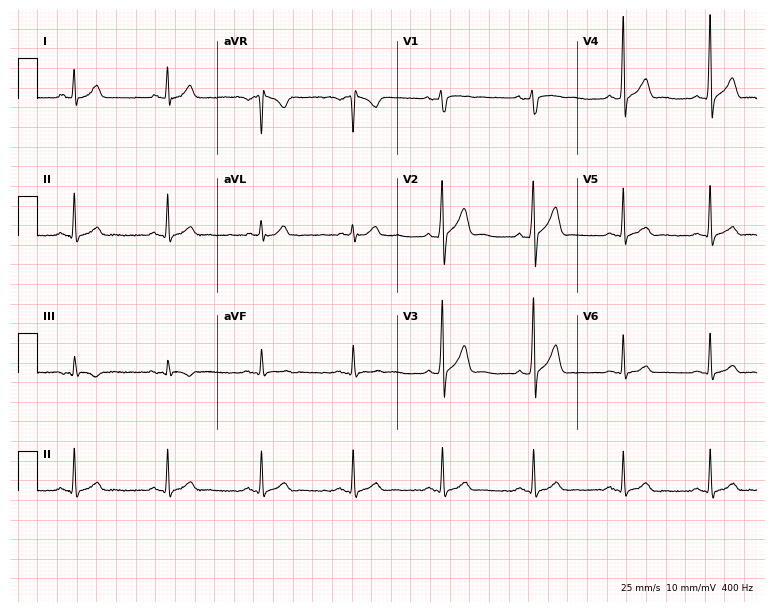
Resting 12-lead electrocardiogram (7.3-second recording at 400 Hz). Patient: a male, 31 years old. Read as a normal ECG.